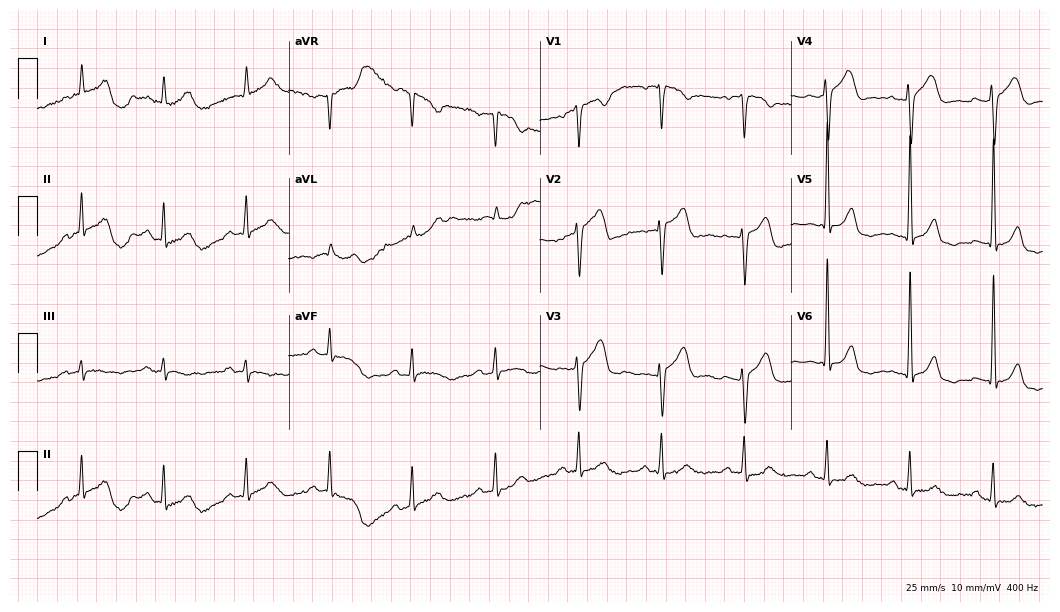
12-lead ECG from a male, 75 years old. Labelled as a normal ECG.